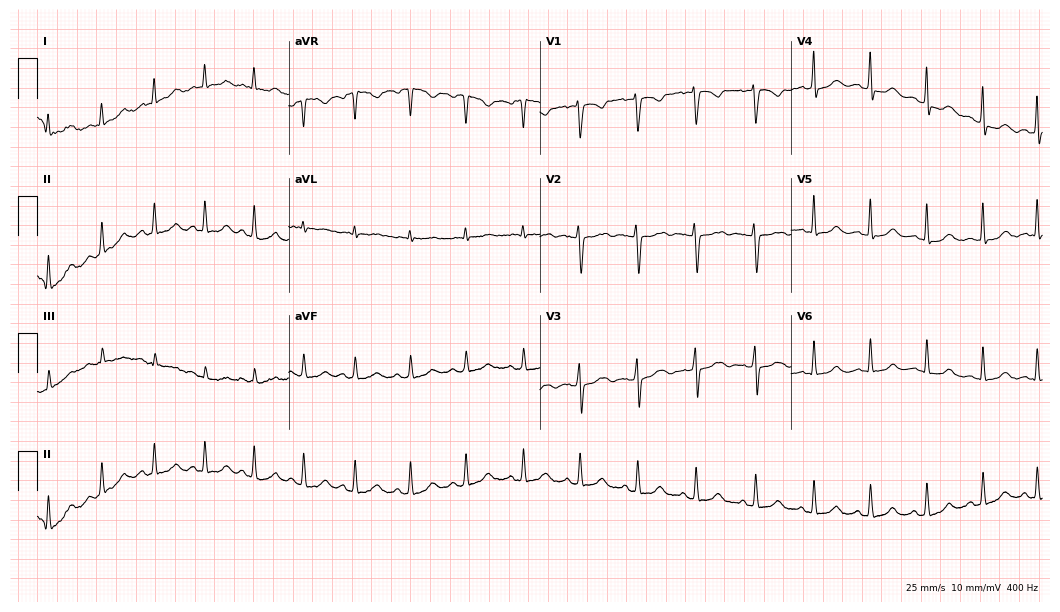
ECG — a 29-year-old female. Findings include sinus tachycardia (a sinus rate of 100 beats per minute or more).